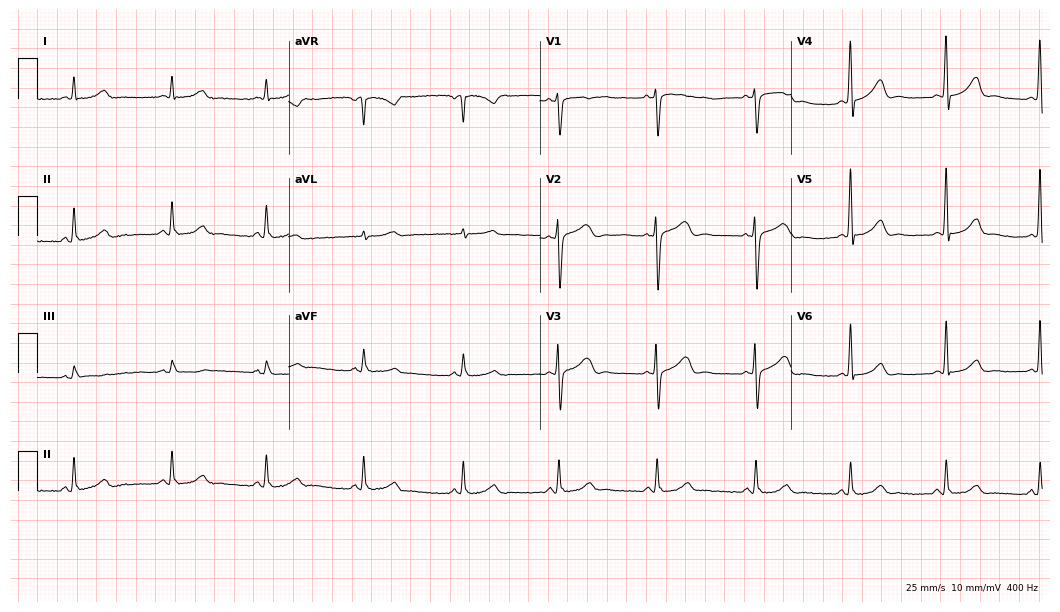
ECG — a female, 51 years old. Screened for six findings — first-degree AV block, right bundle branch block, left bundle branch block, sinus bradycardia, atrial fibrillation, sinus tachycardia — none is recorded.